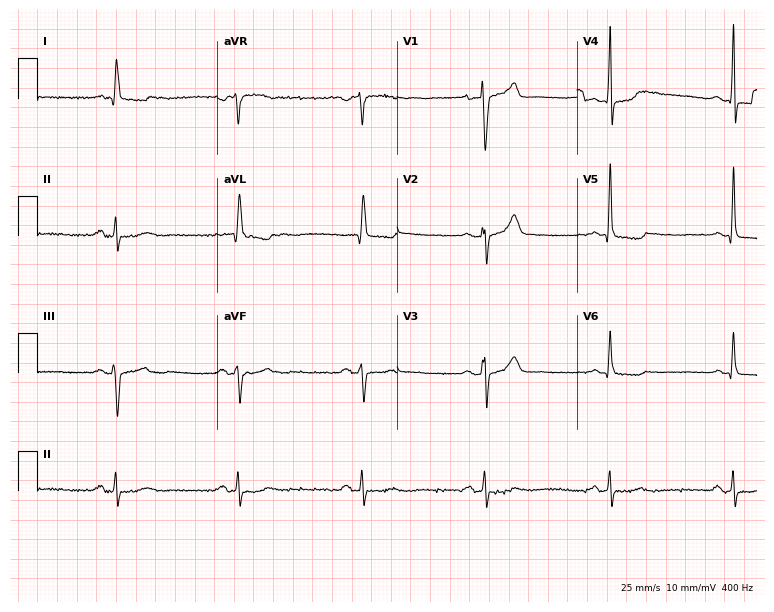
ECG (7.3-second recording at 400 Hz) — an 82-year-old male. Findings include sinus bradycardia (a sinus rate of 50 beats per minute or less).